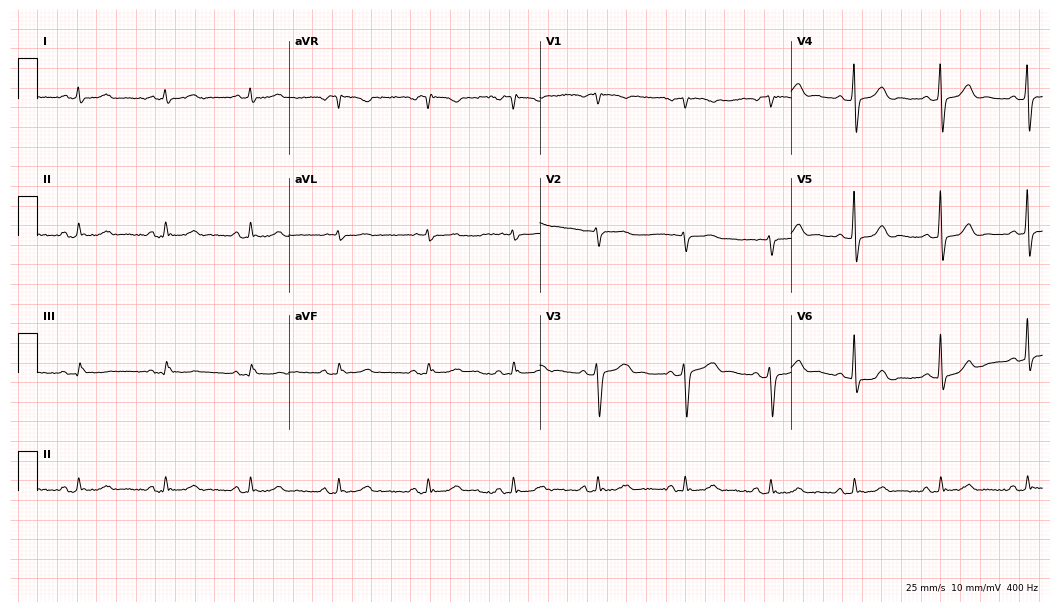
Resting 12-lead electrocardiogram (10.2-second recording at 400 Hz). Patient: a female, 57 years old. None of these six findings is recorded: first-degree AV block, right bundle branch block, left bundle branch block, sinus bradycardia, atrial fibrillation, sinus tachycardia.